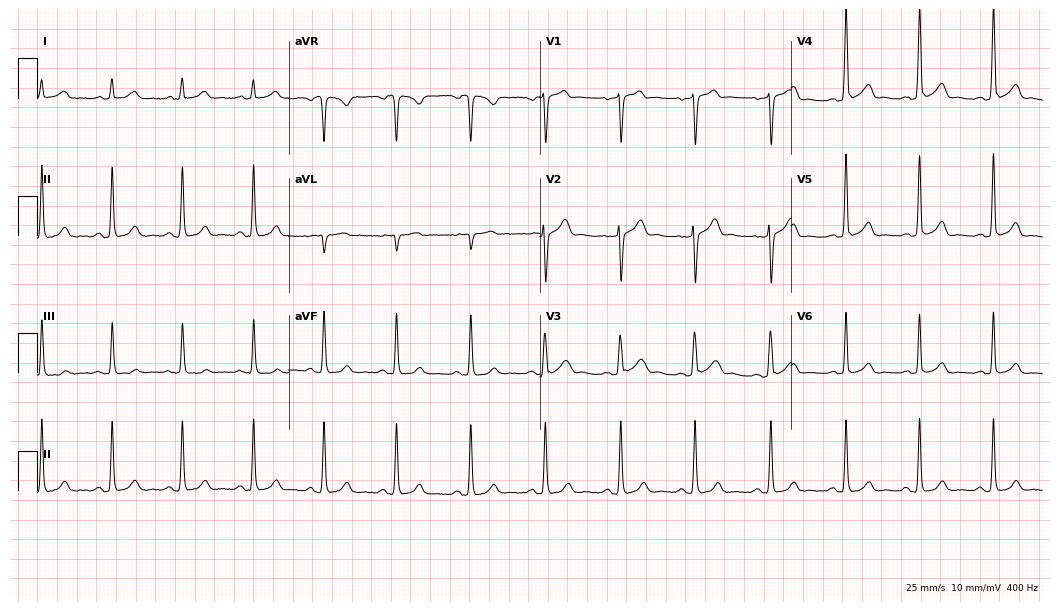
12-lead ECG (10.2-second recording at 400 Hz) from a 58-year-old male. Labelled as a normal ECG.